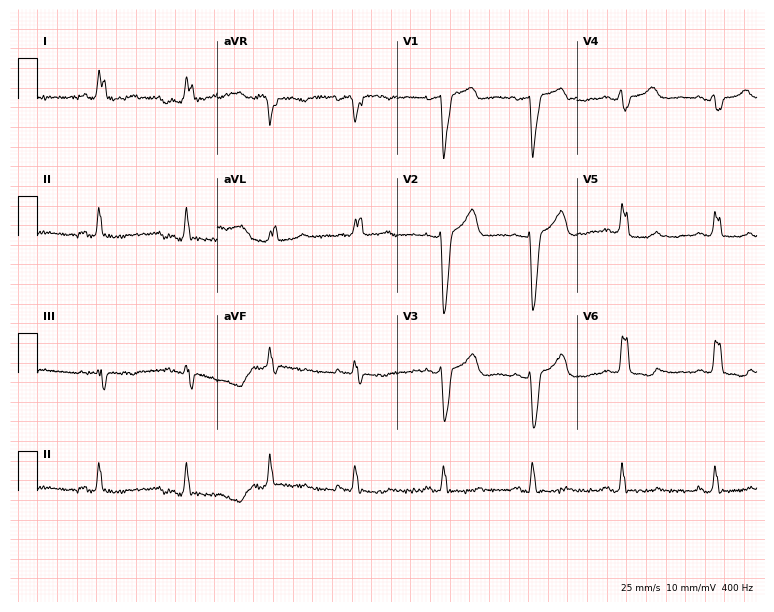
Resting 12-lead electrocardiogram. Patient: a 67-year-old female. The tracing shows left bundle branch block (LBBB).